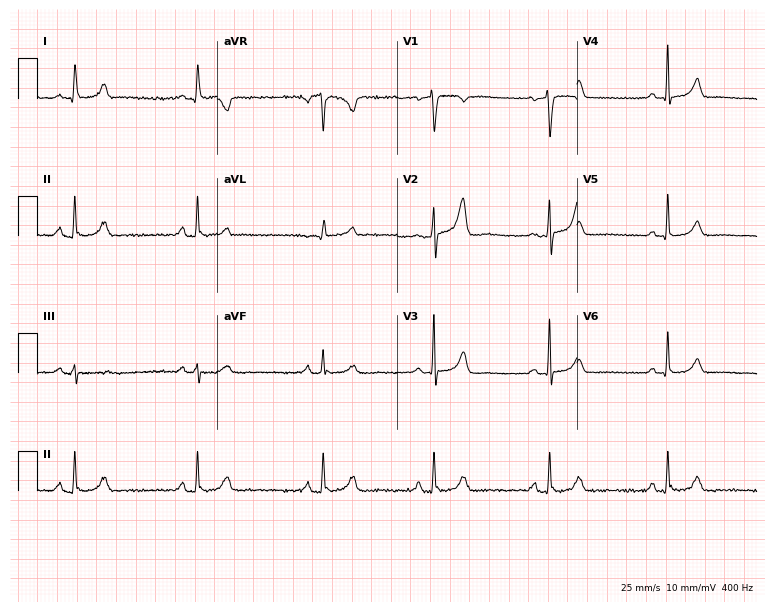
Electrocardiogram, a 47-year-old female. Overall reading on record: normal ECG.